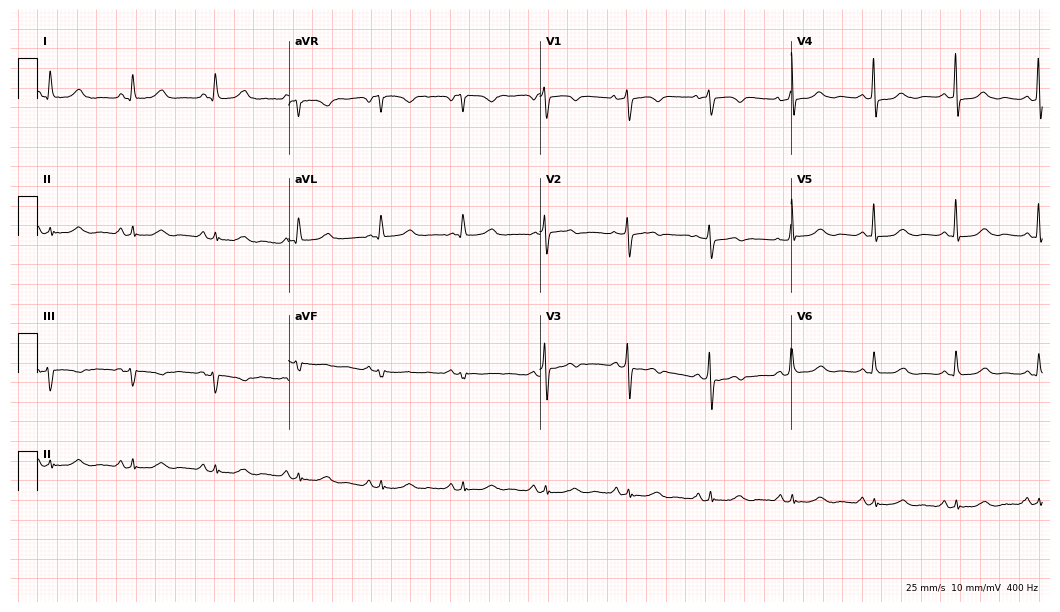
Resting 12-lead electrocardiogram. Patient: a 73-year-old male. Read as a normal ECG.